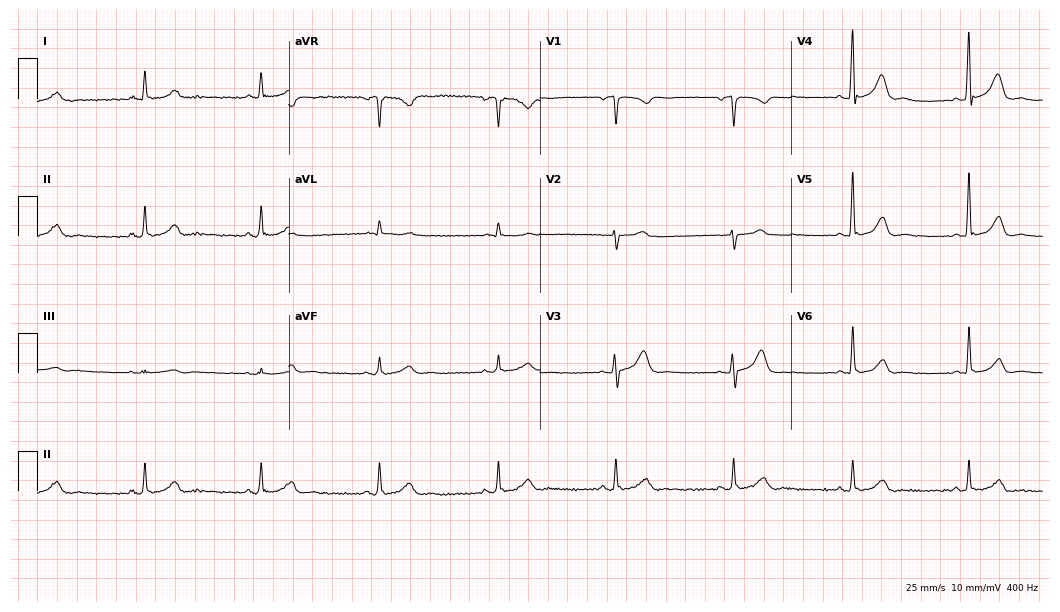
12-lead ECG (10.2-second recording at 400 Hz) from a 70-year-old man. Findings include sinus bradycardia (a sinus rate of 50 beats per minute or less).